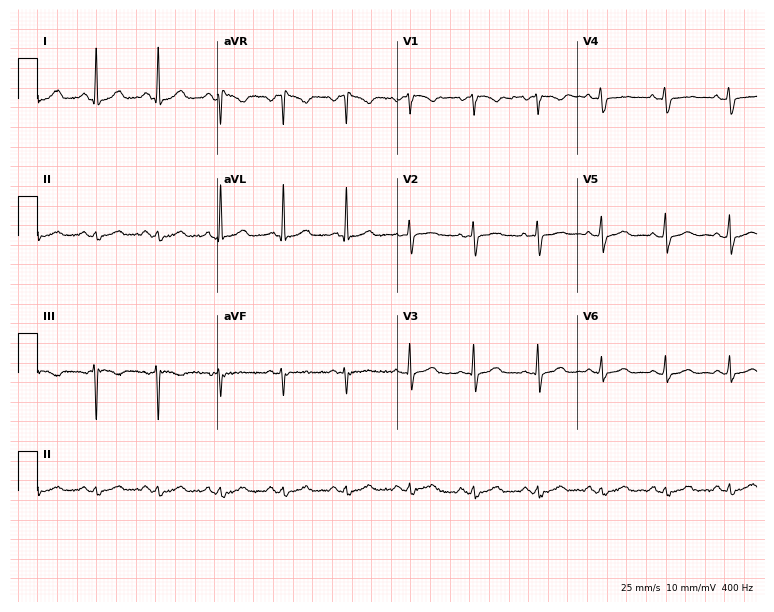
12-lead ECG from a 58-year-old female. Screened for six findings — first-degree AV block, right bundle branch block, left bundle branch block, sinus bradycardia, atrial fibrillation, sinus tachycardia — none is recorded.